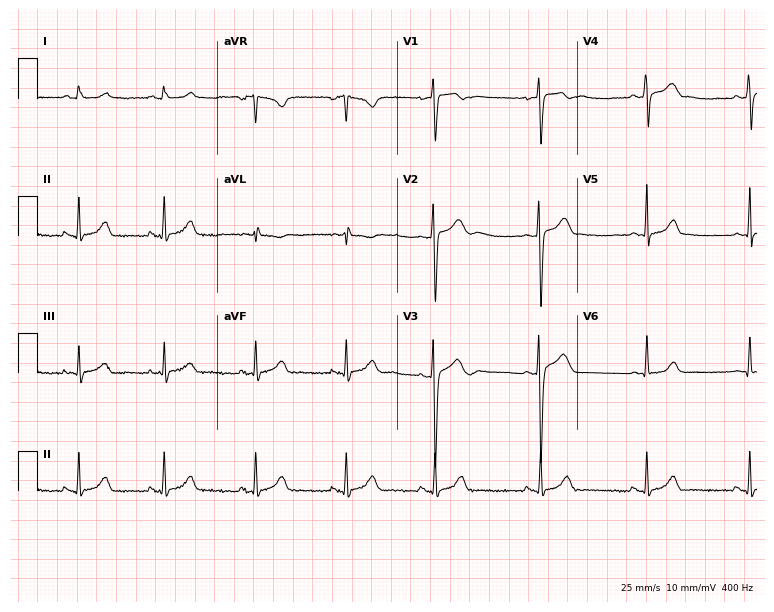
12-lead ECG from a female patient, 34 years old (7.3-second recording at 400 Hz). No first-degree AV block, right bundle branch block, left bundle branch block, sinus bradycardia, atrial fibrillation or sinus tachycardia recorded for this tracing. Only these six findings were labelled.